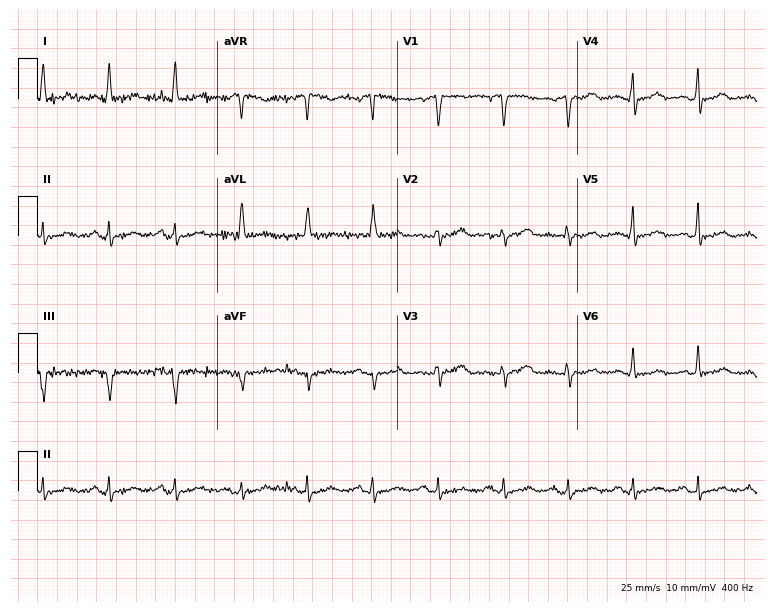
12-lead ECG from a female patient, 63 years old. No first-degree AV block, right bundle branch block (RBBB), left bundle branch block (LBBB), sinus bradycardia, atrial fibrillation (AF) or sinus tachycardia recorded for this tracing.